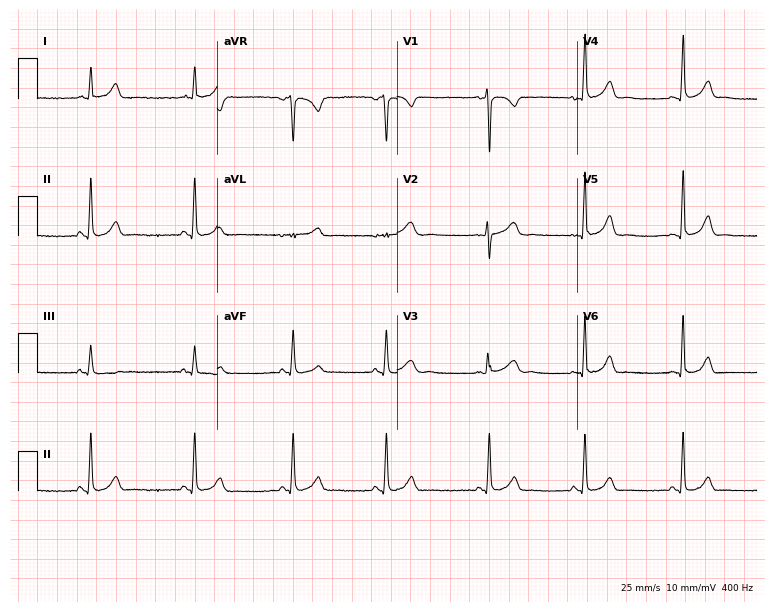
Electrocardiogram (7.3-second recording at 400 Hz), a 19-year-old female patient. Overall reading on record: normal ECG.